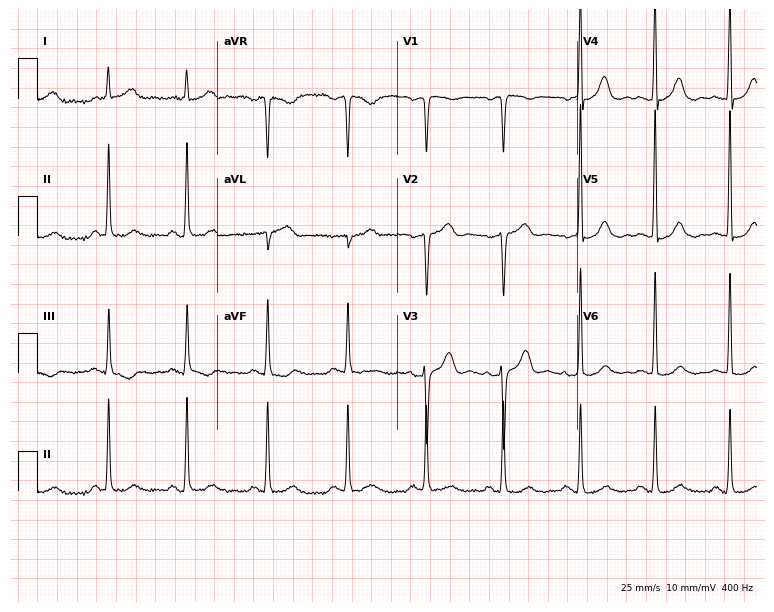
ECG (7.3-second recording at 400 Hz) — a female, 79 years old. Screened for six findings — first-degree AV block, right bundle branch block, left bundle branch block, sinus bradycardia, atrial fibrillation, sinus tachycardia — none is recorded.